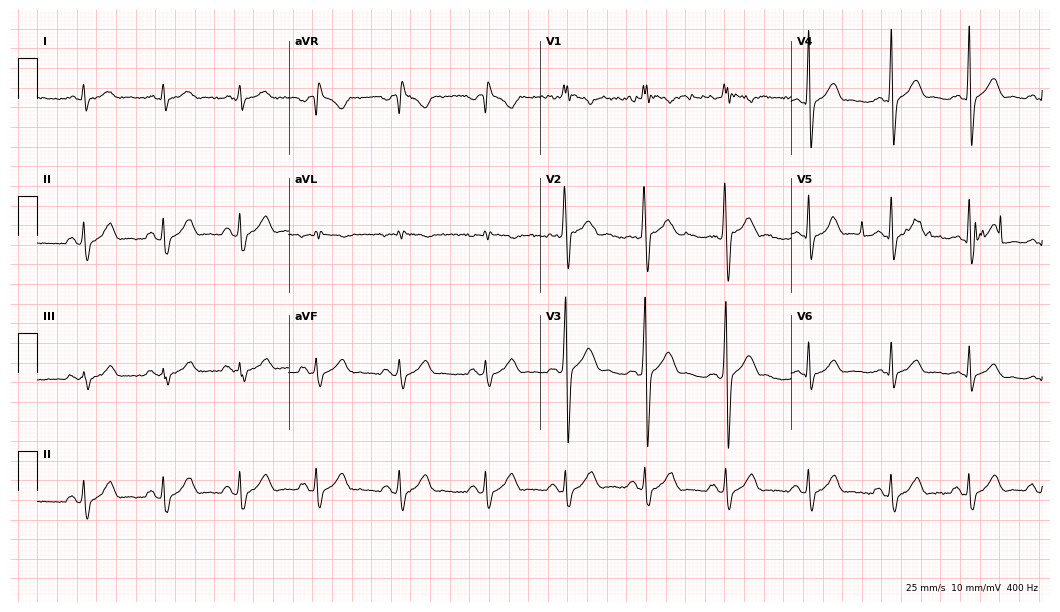
12-lead ECG from a 20-year-old male (10.2-second recording at 400 Hz). No first-degree AV block, right bundle branch block, left bundle branch block, sinus bradycardia, atrial fibrillation or sinus tachycardia recorded for this tracing.